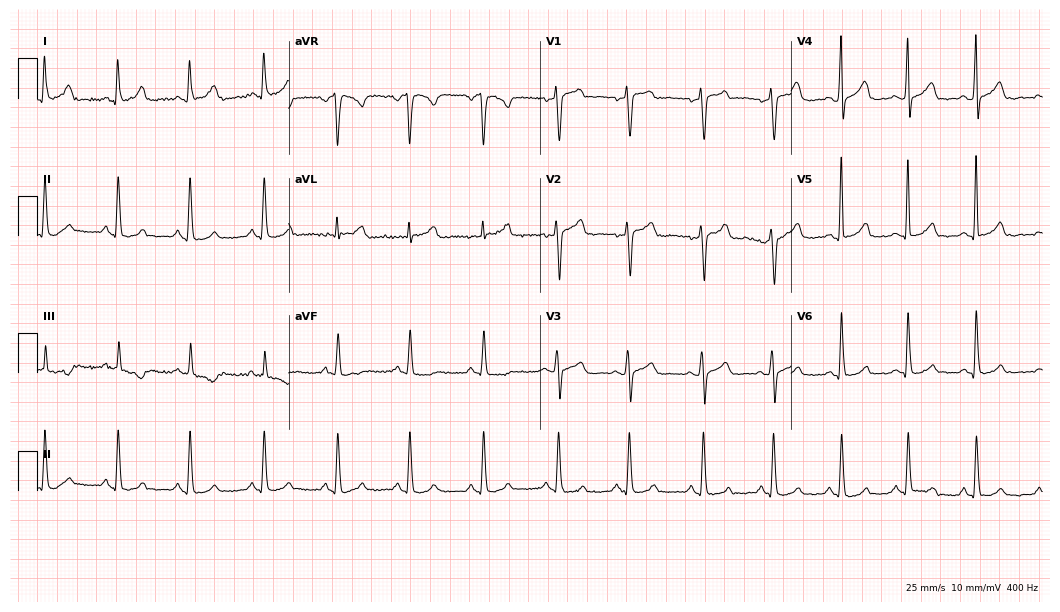
Resting 12-lead electrocardiogram. Patient: a woman, 44 years old. Read as a normal ECG.